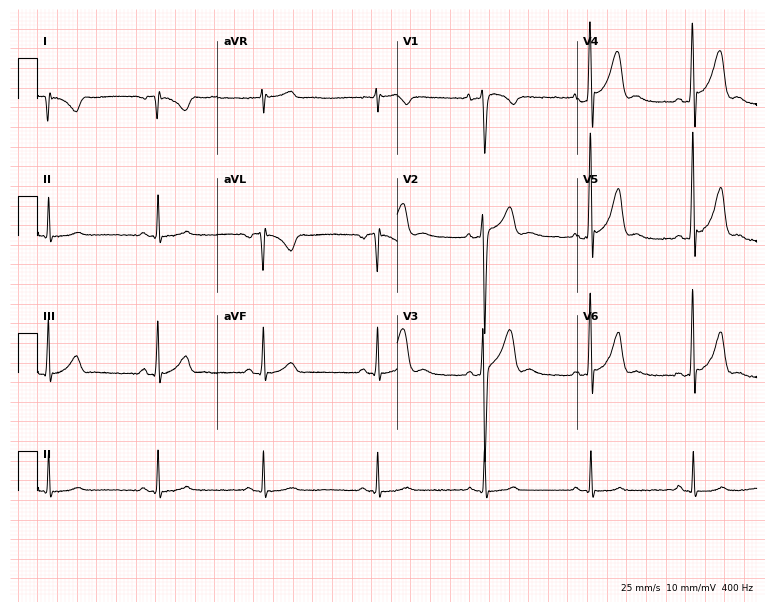
Resting 12-lead electrocardiogram (7.3-second recording at 400 Hz). Patient: a male, 22 years old. None of these six findings is recorded: first-degree AV block, right bundle branch block, left bundle branch block, sinus bradycardia, atrial fibrillation, sinus tachycardia.